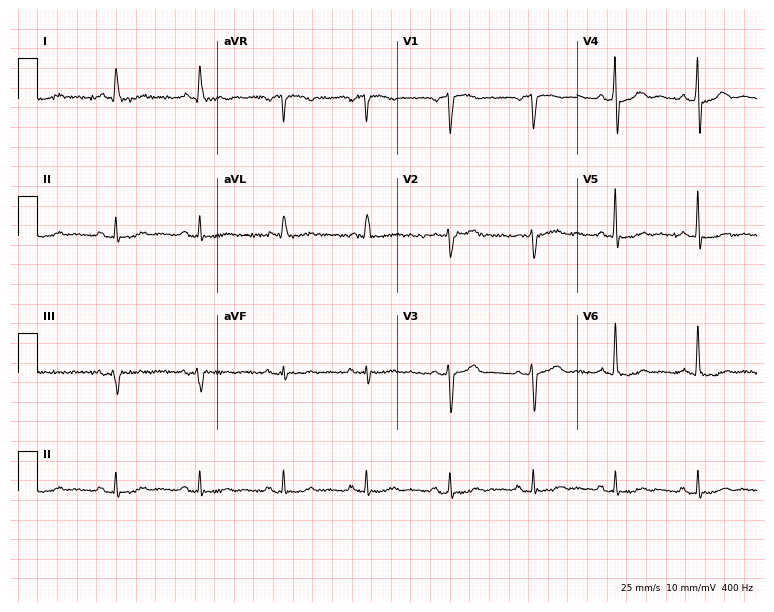
12-lead ECG from a man, 79 years old. Screened for six findings — first-degree AV block, right bundle branch block, left bundle branch block, sinus bradycardia, atrial fibrillation, sinus tachycardia — none is recorded.